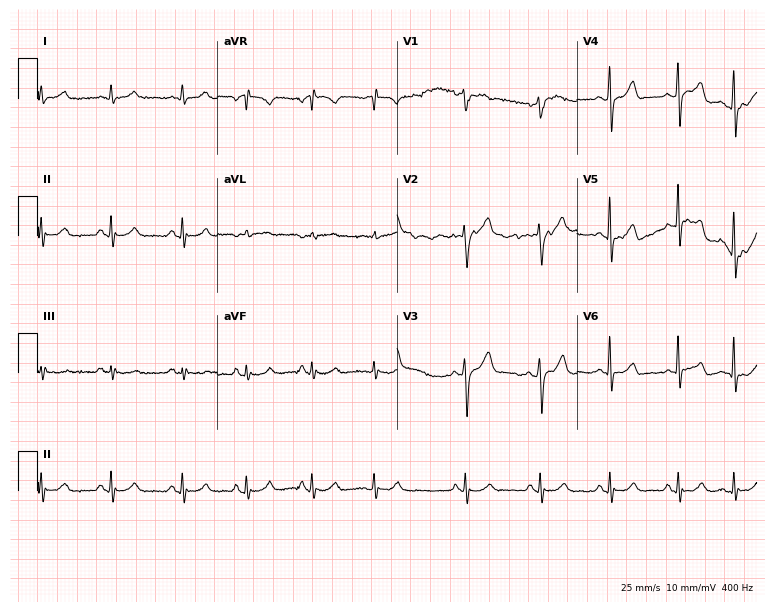
Electrocardiogram (7.3-second recording at 400 Hz), a male patient, 69 years old. Of the six screened findings (first-degree AV block, right bundle branch block, left bundle branch block, sinus bradycardia, atrial fibrillation, sinus tachycardia), none is recorded. Other findings, if any, are not listed.